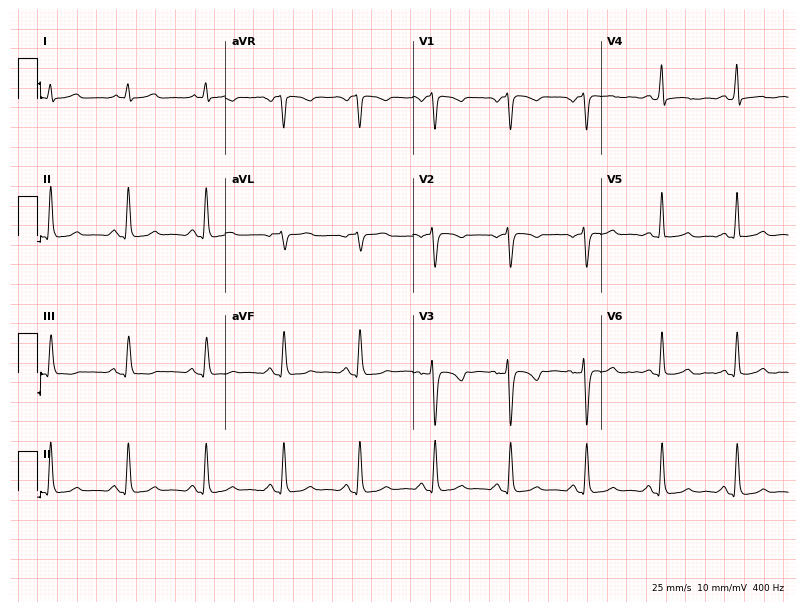
12-lead ECG from a 31-year-old woman. No first-degree AV block, right bundle branch block, left bundle branch block, sinus bradycardia, atrial fibrillation or sinus tachycardia recorded for this tracing. Other findings, if any, are not listed.